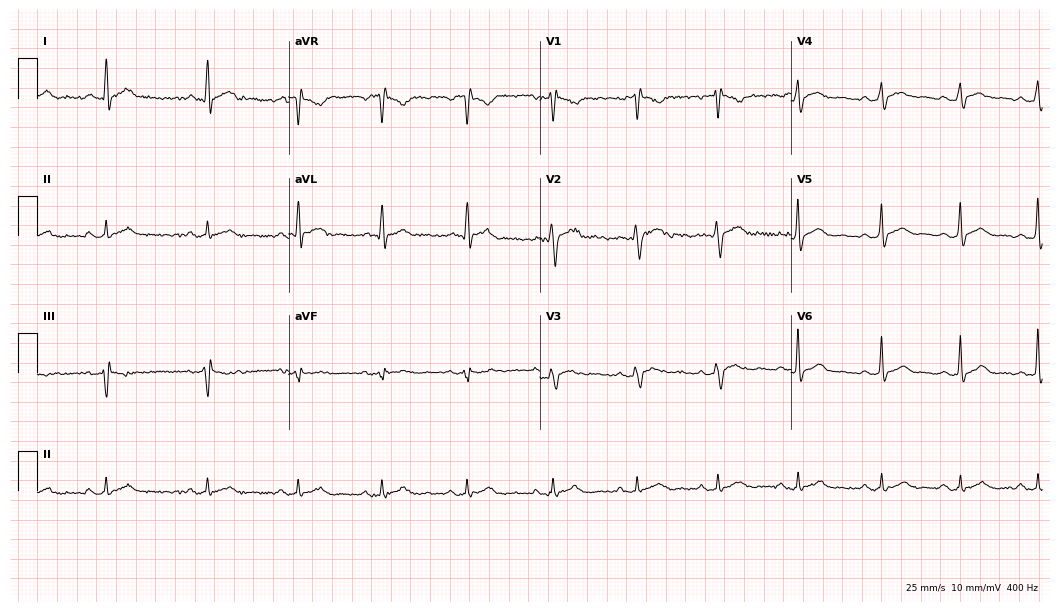
12-lead ECG (10.2-second recording at 400 Hz) from a male patient, 34 years old. Labelled as a normal ECG.